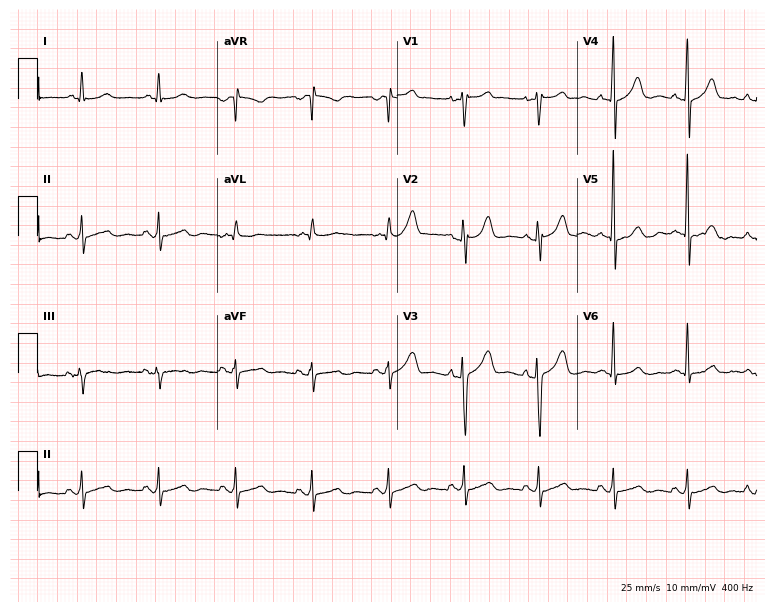
12-lead ECG from a male, 52 years old (7.3-second recording at 400 Hz). Recorded interpretation: within normal limits.